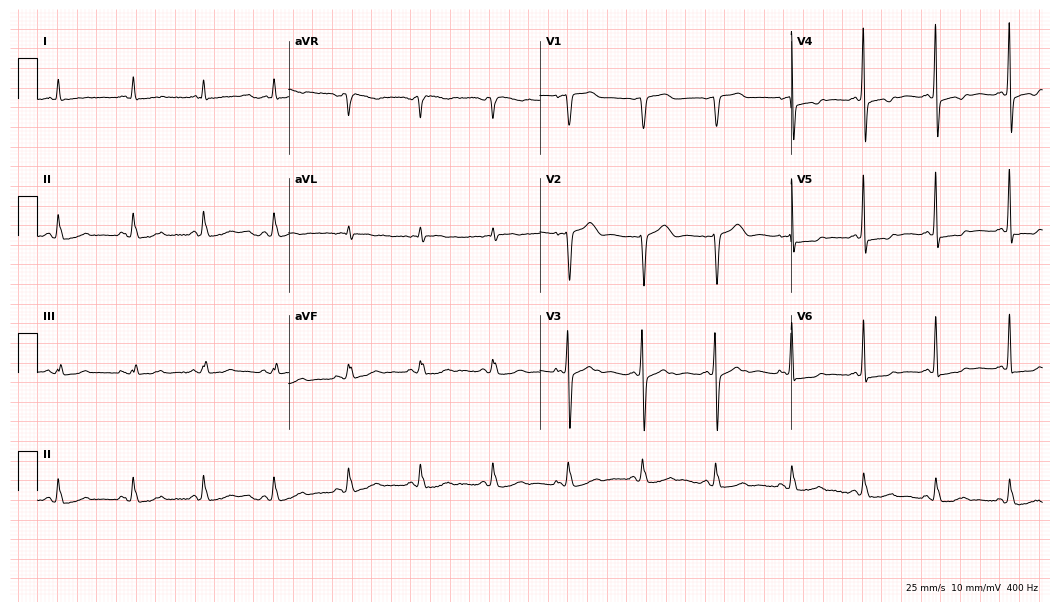
Electrocardiogram (10.2-second recording at 400 Hz), a female patient, 79 years old. Of the six screened findings (first-degree AV block, right bundle branch block, left bundle branch block, sinus bradycardia, atrial fibrillation, sinus tachycardia), none is recorded.